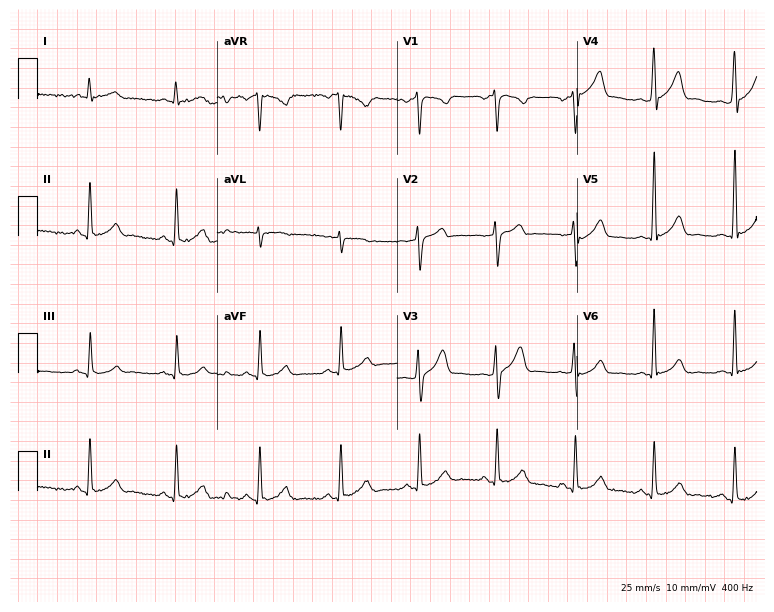
Resting 12-lead electrocardiogram (7.3-second recording at 400 Hz). Patient: a male, 45 years old. None of these six findings is recorded: first-degree AV block, right bundle branch block, left bundle branch block, sinus bradycardia, atrial fibrillation, sinus tachycardia.